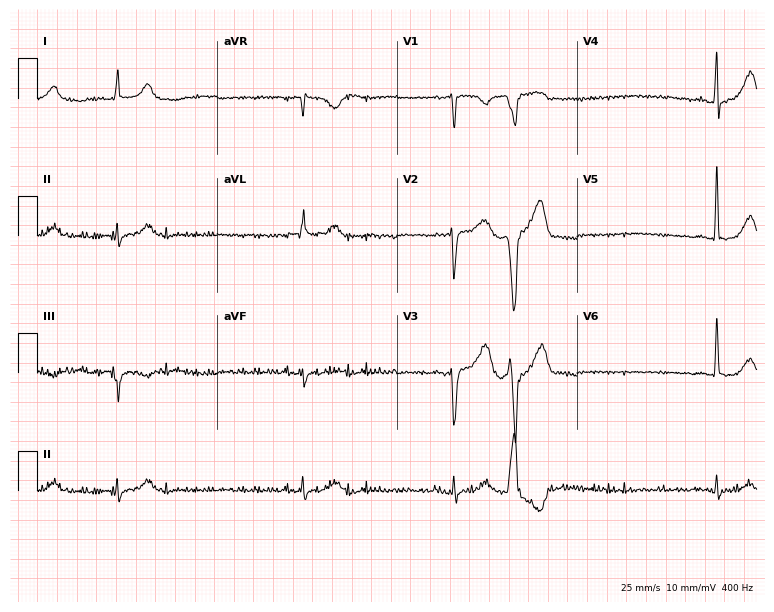
Resting 12-lead electrocardiogram. Patient: a 56-year-old man. The tracing shows sinus bradycardia (a sinus rate of 50 beats per minute or less).